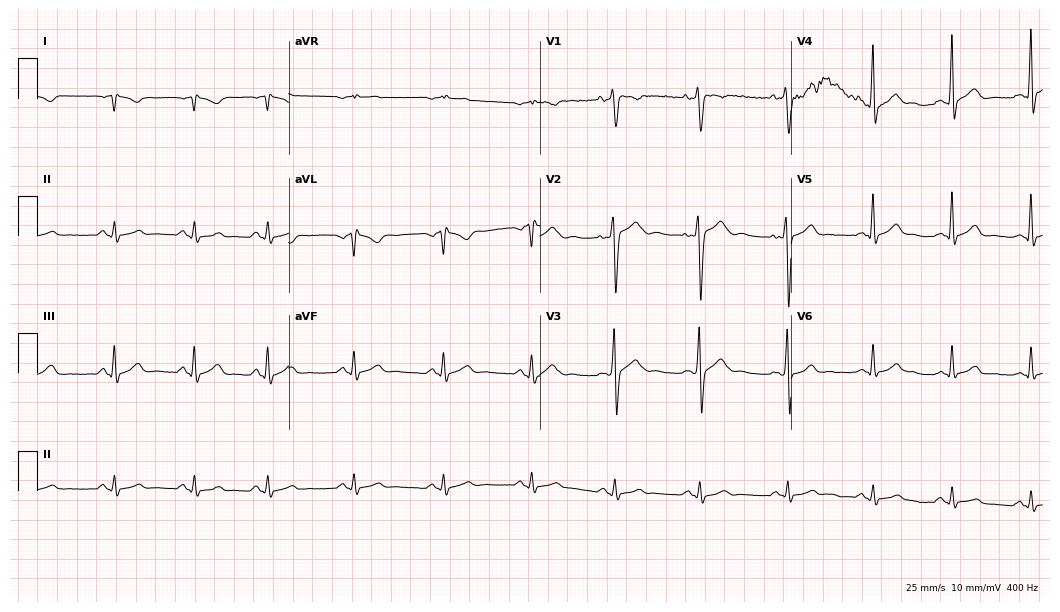
ECG — a man, 17 years old. Screened for six findings — first-degree AV block, right bundle branch block (RBBB), left bundle branch block (LBBB), sinus bradycardia, atrial fibrillation (AF), sinus tachycardia — none is recorded. Only these six findings were labelled.